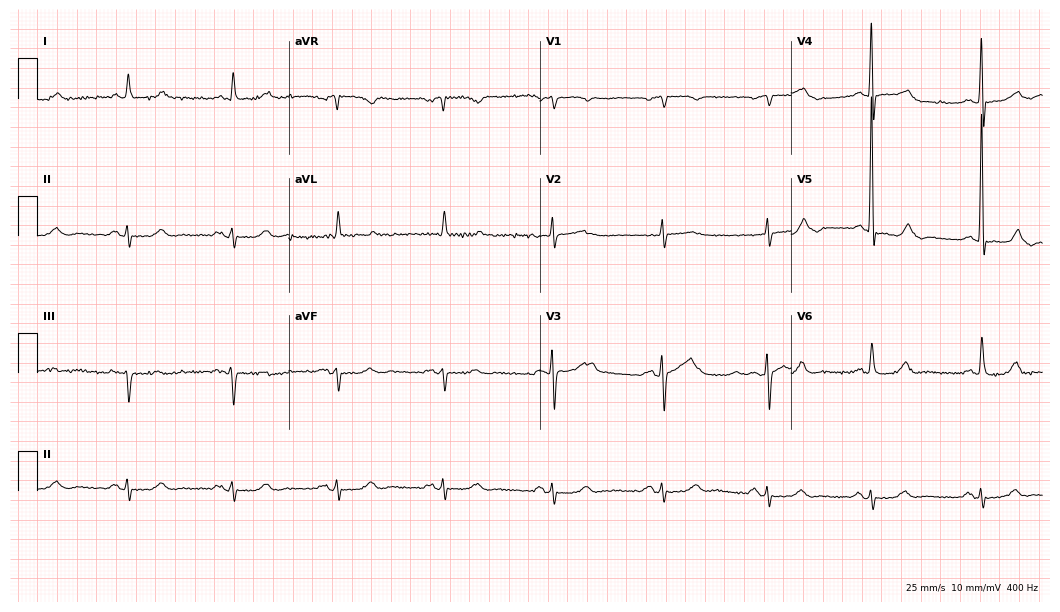
Standard 12-lead ECG recorded from a 76-year-old male. None of these six findings is recorded: first-degree AV block, right bundle branch block, left bundle branch block, sinus bradycardia, atrial fibrillation, sinus tachycardia. Only these six findings were labelled.